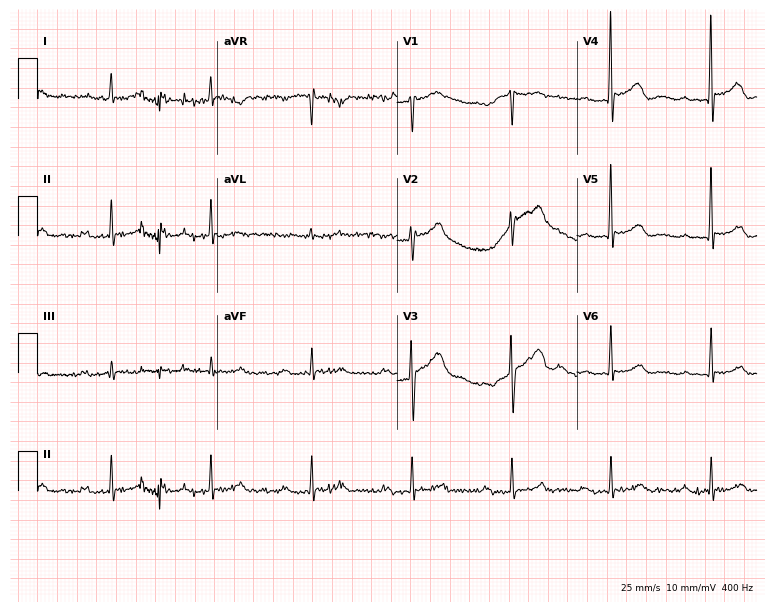
12-lead ECG from a 72-year-old male patient (7.3-second recording at 400 Hz). Shows first-degree AV block.